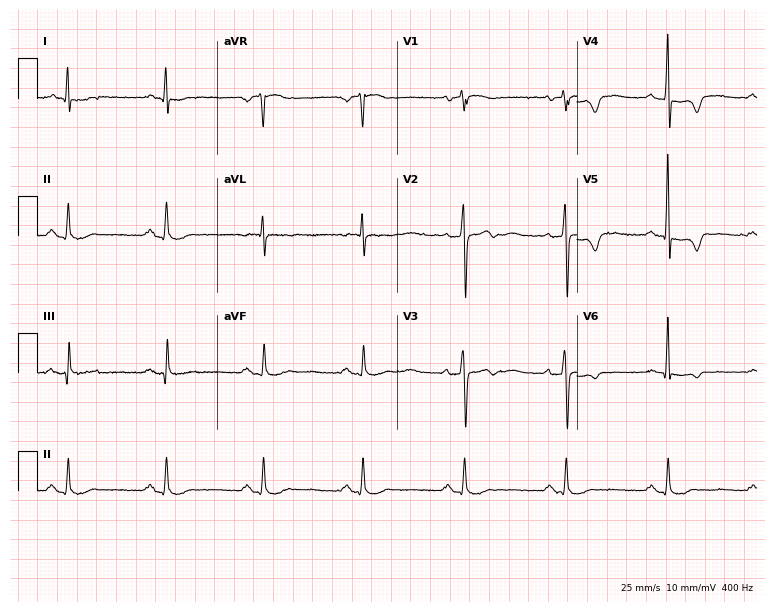
ECG — a 65-year-old male patient. Screened for six findings — first-degree AV block, right bundle branch block, left bundle branch block, sinus bradycardia, atrial fibrillation, sinus tachycardia — none is recorded.